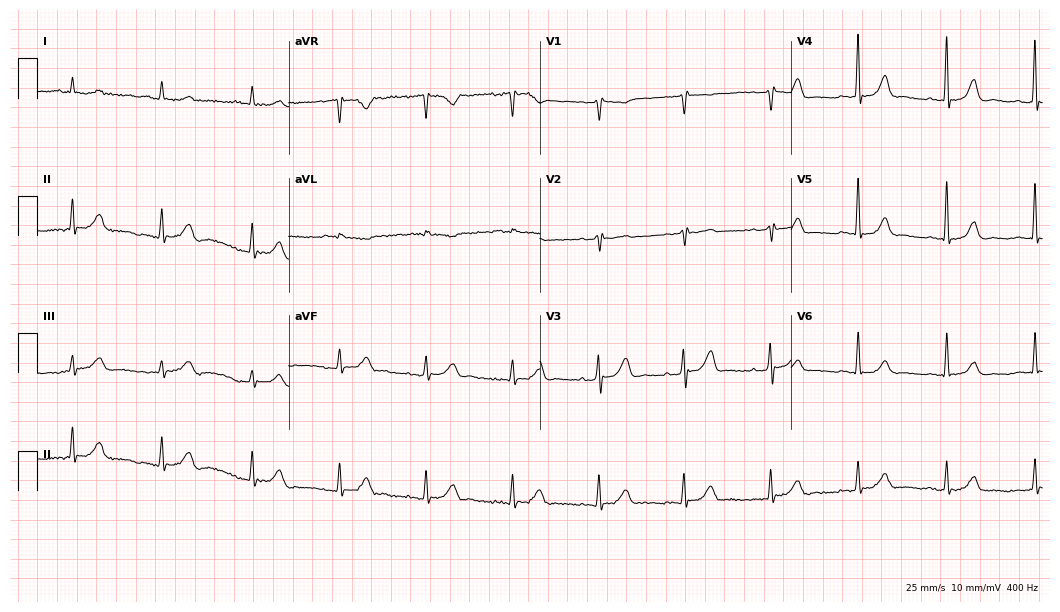
Electrocardiogram (10.2-second recording at 400 Hz), a 79-year-old male patient. Overall reading on record: normal ECG.